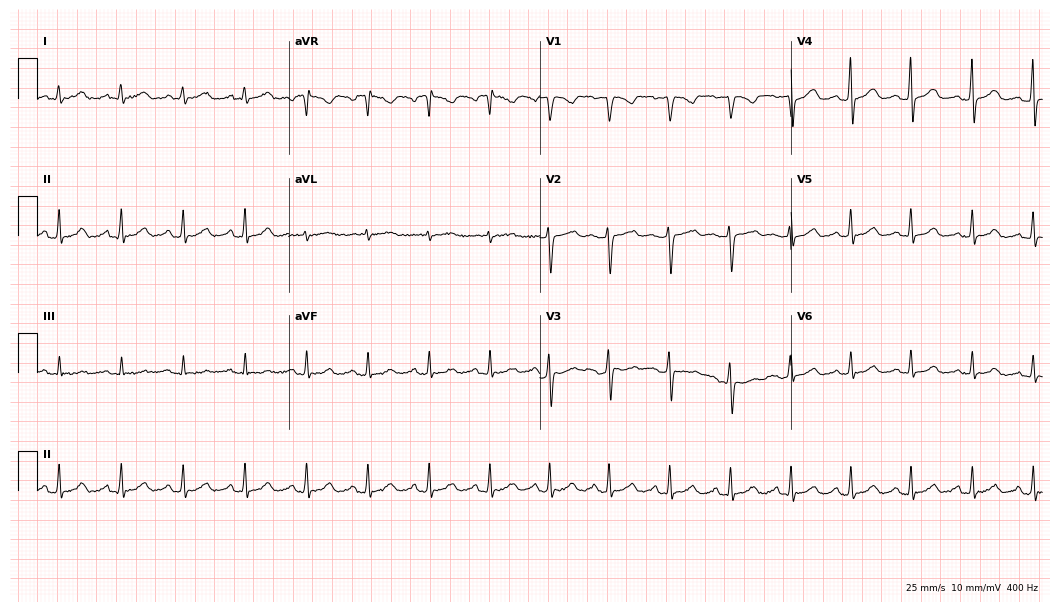
ECG — a 49-year-old female patient. Labelled as a normal ECG.